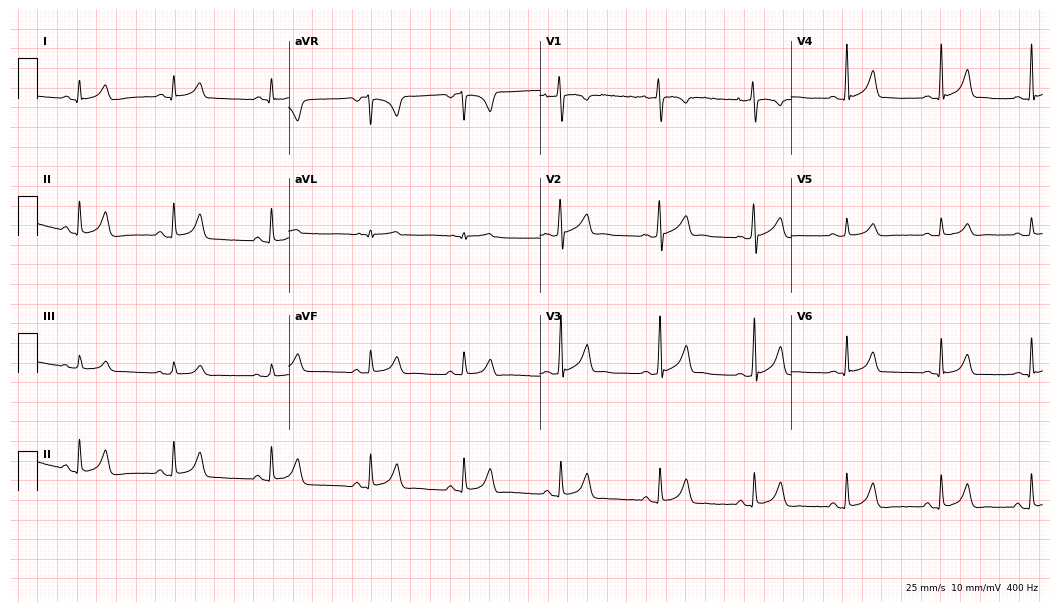
12-lead ECG (10.2-second recording at 400 Hz) from a female, 20 years old. Labelled as a normal ECG.